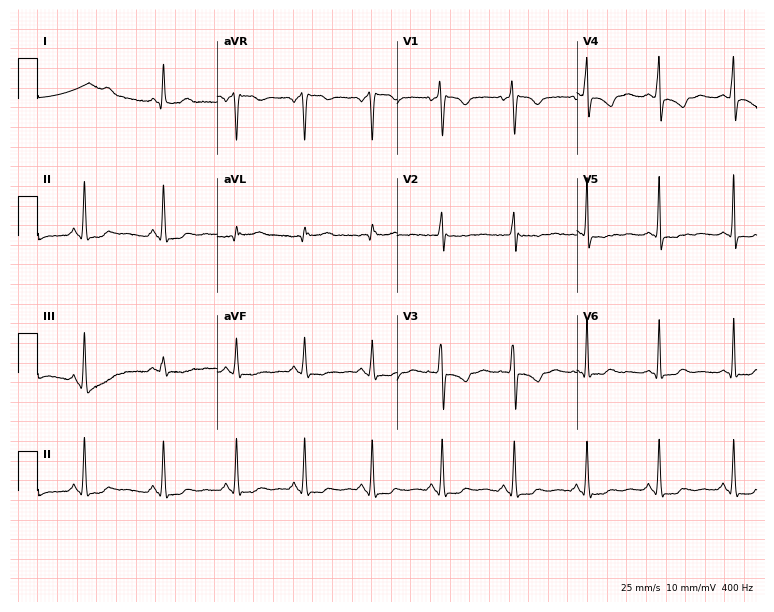
ECG (7.3-second recording at 400 Hz) — a 40-year-old female. Labelled as a normal ECG.